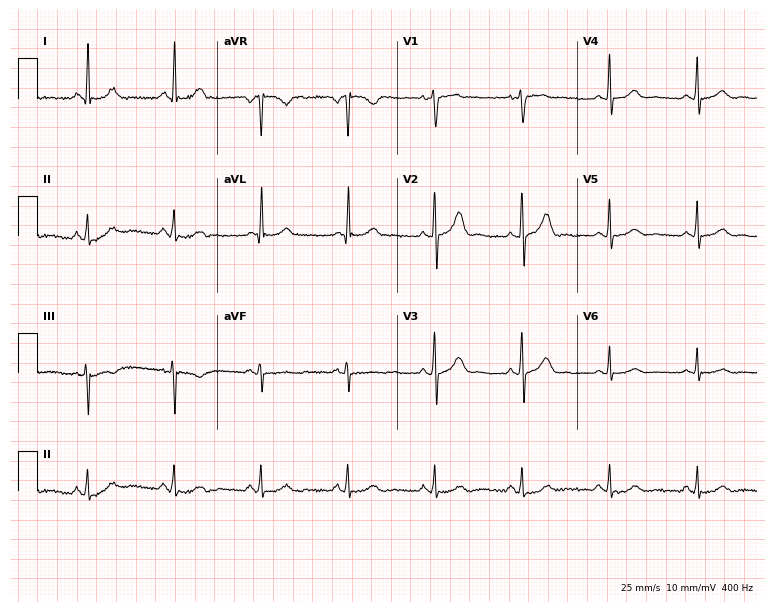
Electrocardiogram, a male, 69 years old. Overall reading on record: normal ECG.